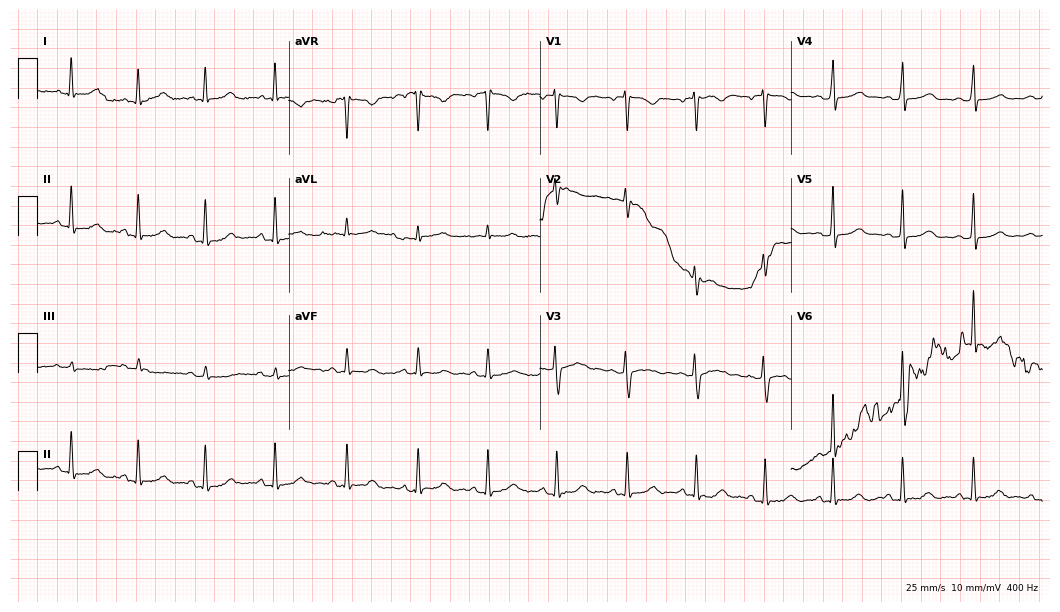
Electrocardiogram (10.2-second recording at 400 Hz), a female, 37 years old. Overall reading on record: normal ECG.